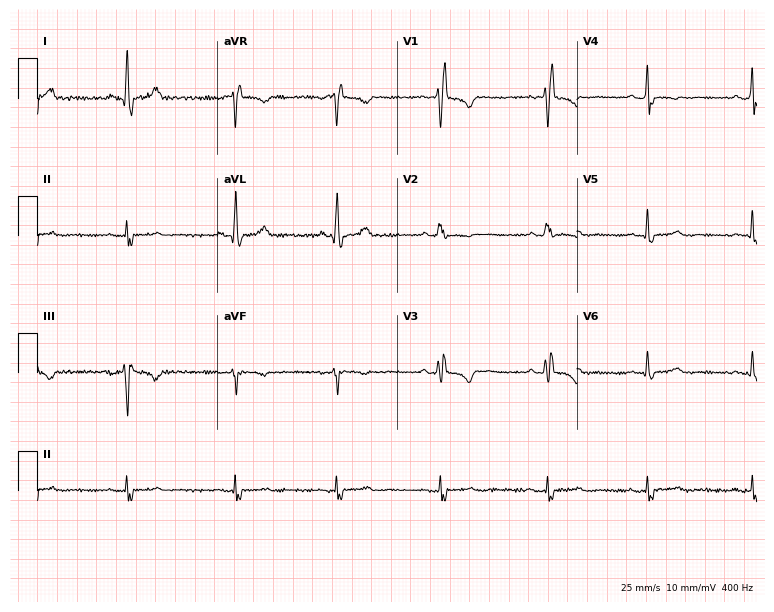
Resting 12-lead electrocardiogram. Patient: a 42-year-old woman. The tracing shows right bundle branch block.